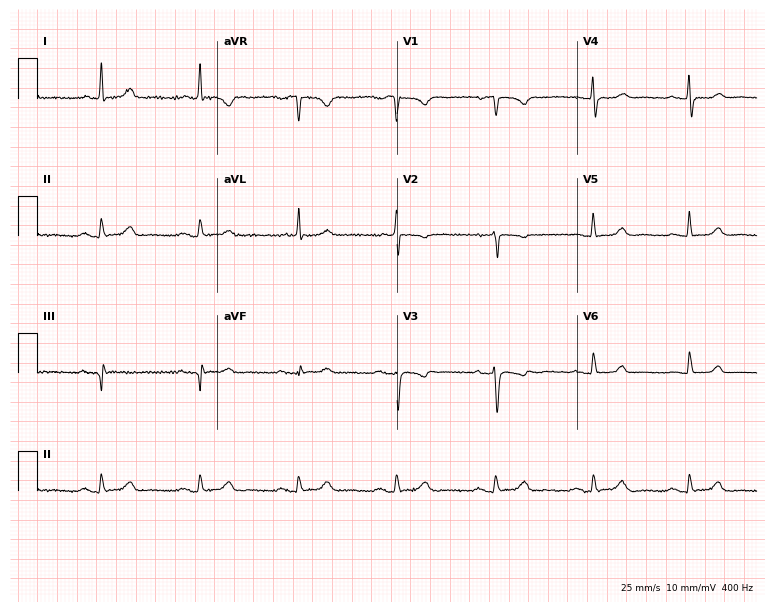
Resting 12-lead electrocardiogram (7.3-second recording at 400 Hz). Patient: a female, 80 years old. None of these six findings is recorded: first-degree AV block, right bundle branch block, left bundle branch block, sinus bradycardia, atrial fibrillation, sinus tachycardia. Findings outside these six are not listed.